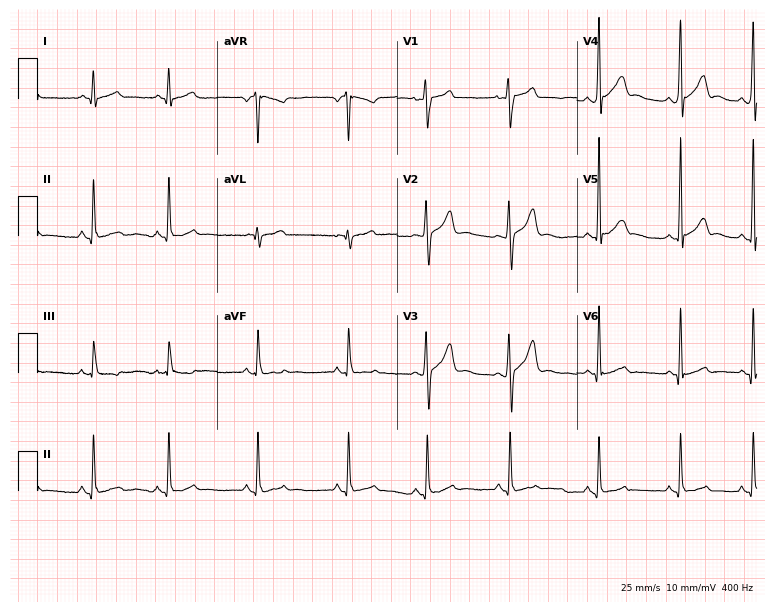
12-lead ECG from a man, 19 years old. Screened for six findings — first-degree AV block, right bundle branch block, left bundle branch block, sinus bradycardia, atrial fibrillation, sinus tachycardia — none is recorded. Other findings, if any, are not listed.